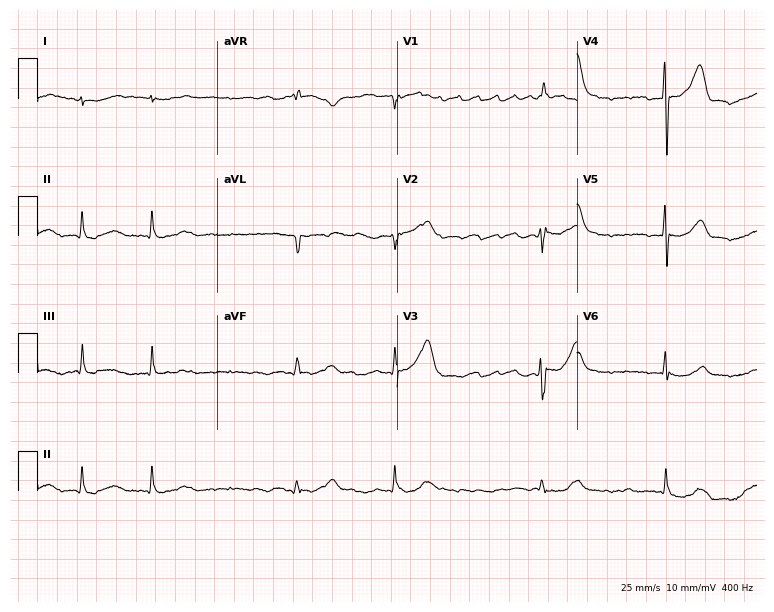
Electrocardiogram, a 54-year-old male patient. Interpretation includes atrial fibrillation.